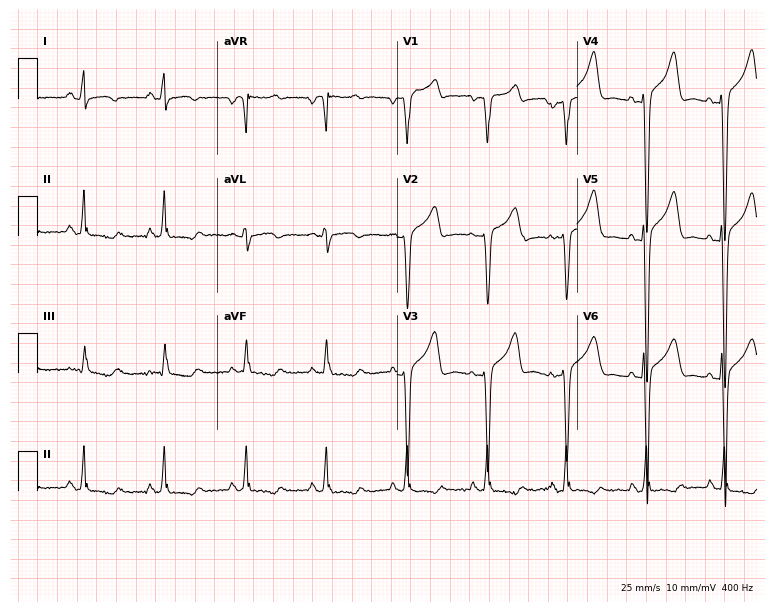
ECG — a man, 40 years old. Screened for six findings — first-degree AV block, right bundle branch block, left bundle branch block, sinus bradycardia, atrial fibrillation, sinus tachycardia — none is recorded.